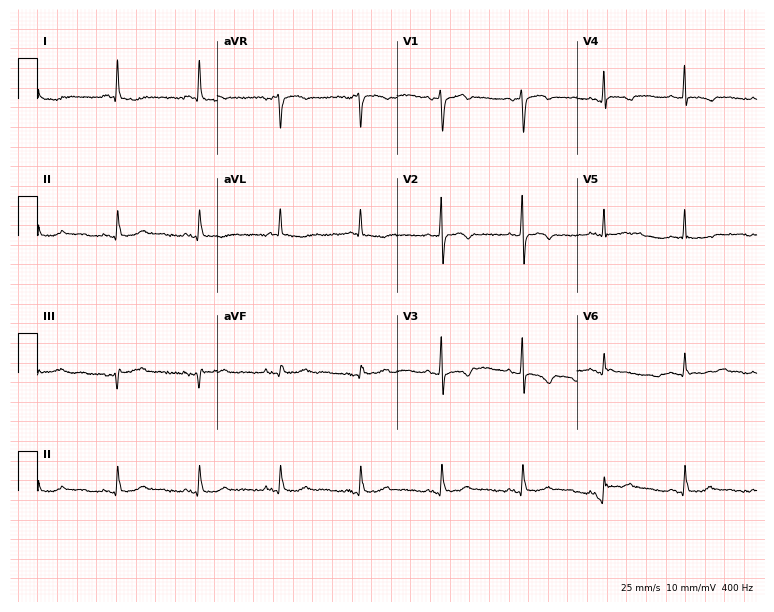
ECG (7.3-second recording at 400 Hz) — a female patient, 74 years old. Screened for six findings — first-degree AV block, right bundle branch block, left bundle branch block, sinus bradycardia, atrial fibrillation, sinus tachycardia — none is recorded.